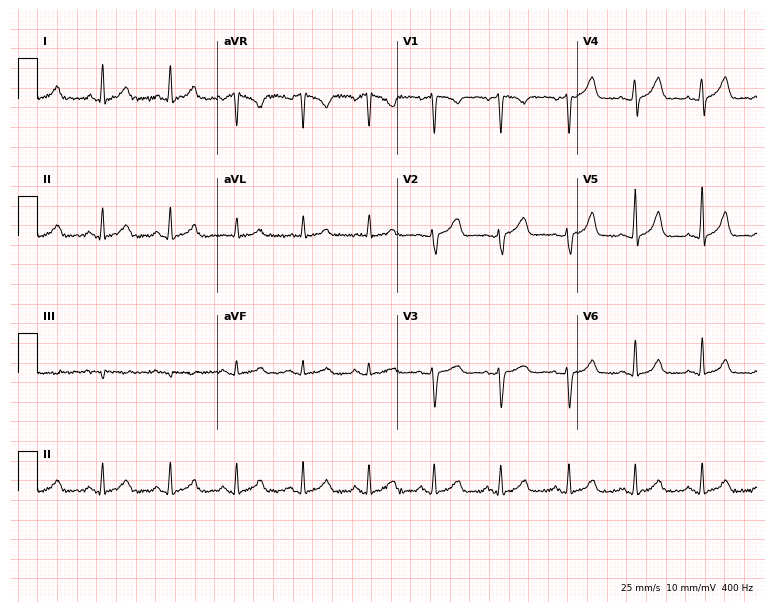
Electrocardiogram (7.3-second recording at 400 Hz), a female patient, 38 years old. Of the six screened findings (first-degree AV block, right bundle branch block, left bundle branch block, sinus bradycardia, atrial fibrillation, sinus tachycardia), none is recorded.